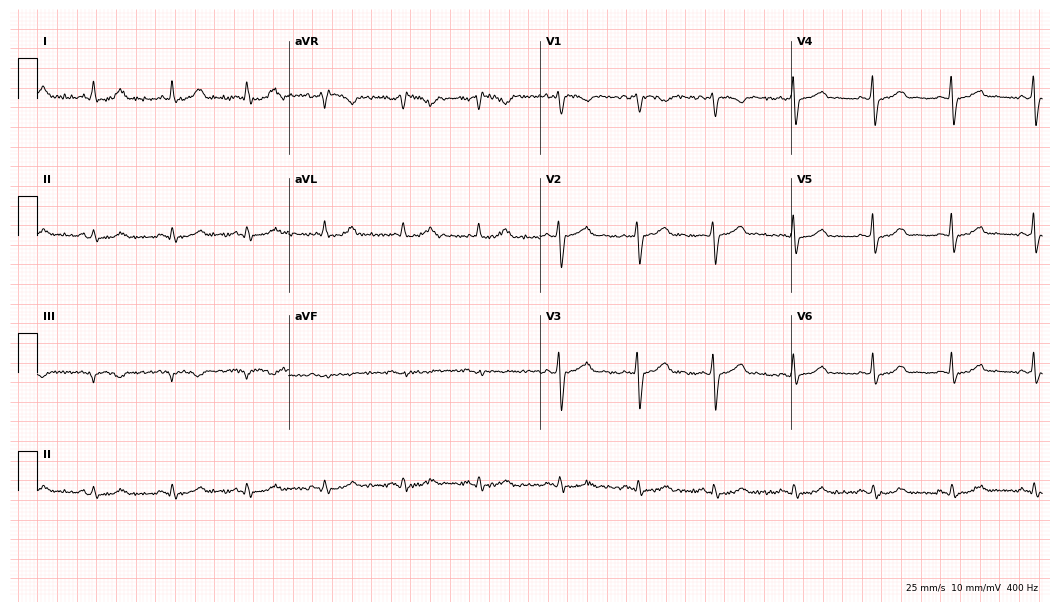
Standard 12-lead ECG recorded from a female, 39 years old (10.2-second recording at 400 Hz). None of these six findings is recorded: first-degree AV block, right bundle branch block (RBBB), left bundle branch block (LBBB), sinus bradycardia, atrial fibrillation (AF), sinus tachycardia.